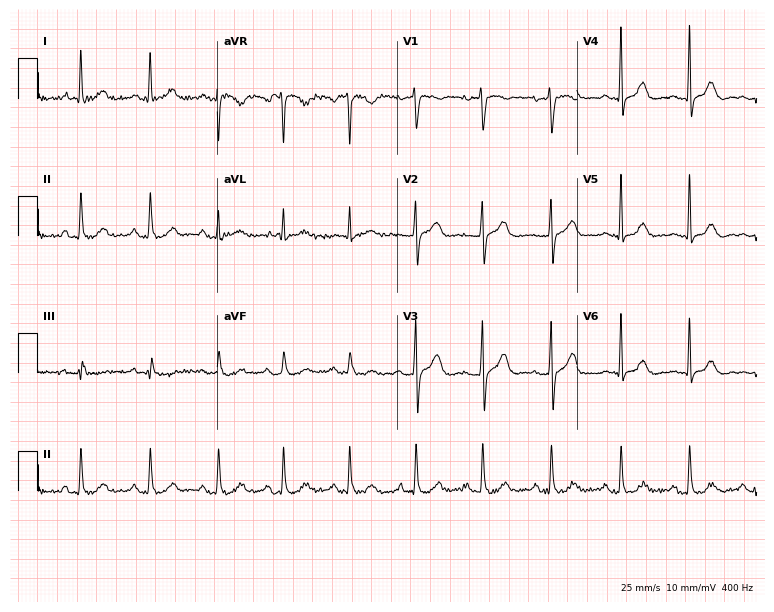
ECG (7.3-second recording at 400 Hz) — a woman, 60 years old. Labelled as a normal ECG.